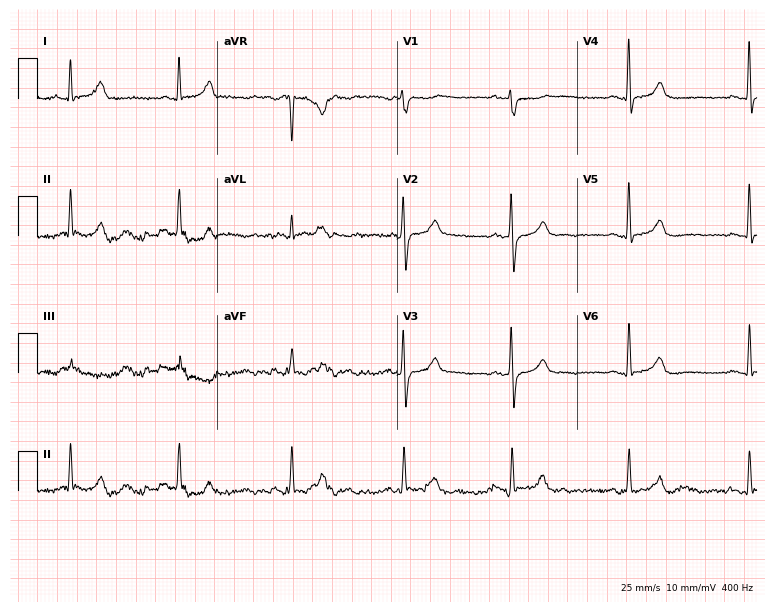
Electrocardiogram (7.3-second recording at 400 Hz), a male, 40 years old. Overall reading on record: normal ECG.